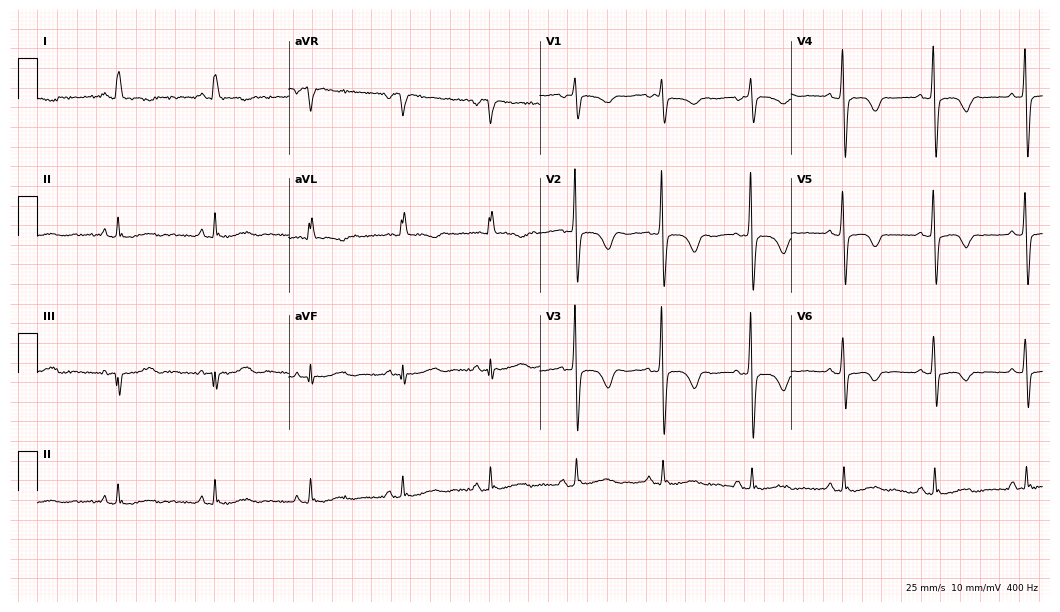
Electrocardiogram (10.2-second recording at 400 Hz), a female, 55 years old. Of the six screened findings (first-degree AV block, right bundle branch block, left bundle branch block, sinus bradycardia, atrial fibrillation, sinus tachycardia), none is recorded. Findings outside these six are not listed.